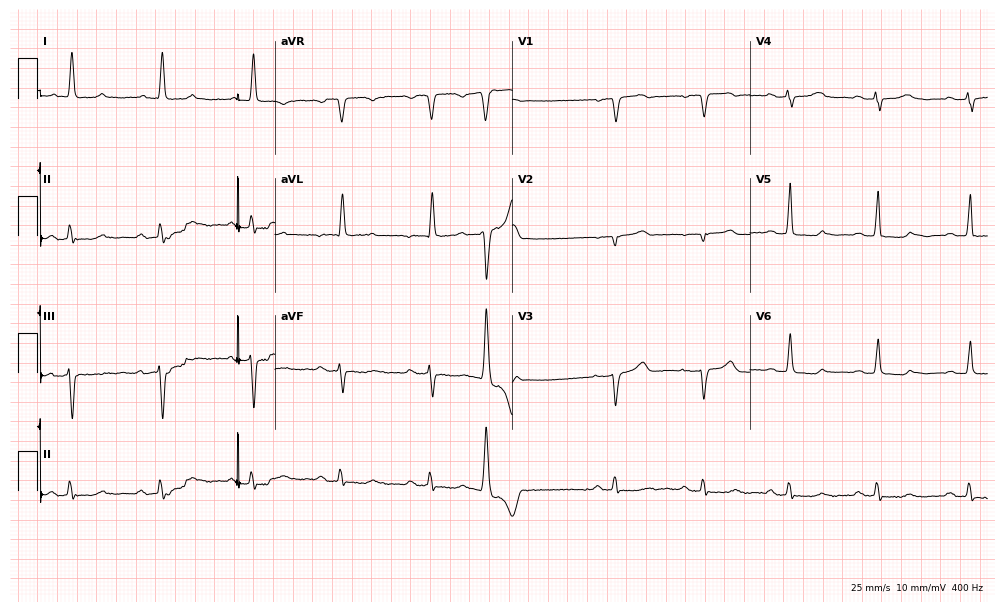
12-lead ECG from a 70-year-old female patient. Screened for six findings — first-degree AV block, right bundle branch block, left bundle branch block, sinus bradycardia, atrial fibrillation, sinus tachycardia — none is recorded.